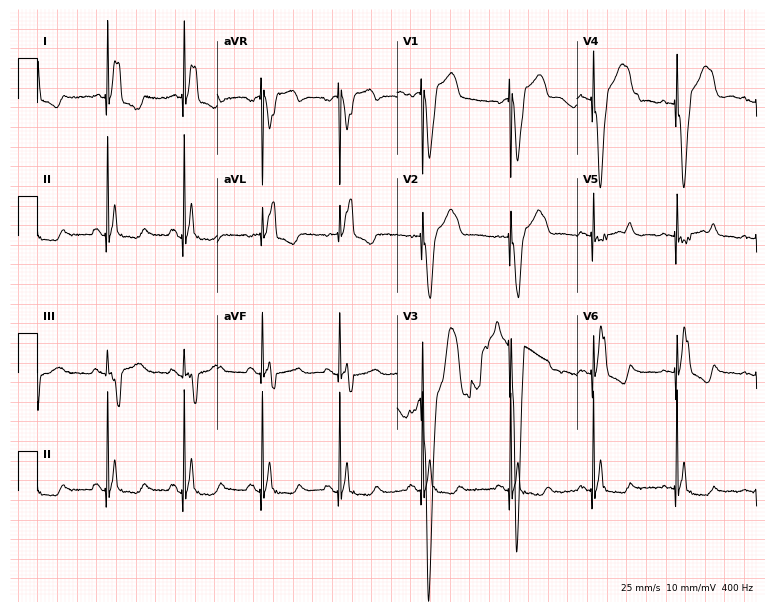
Resting 12-lead electrocardiogram (7.3-second recording at 400 Hz). Patient: a male, 79 years old. None of these six findings is recorded: first-degree AV block, right bundle branch block, left bundle branch block, sinus bradycardia, atrial fibrillation, sinus tachycardia.